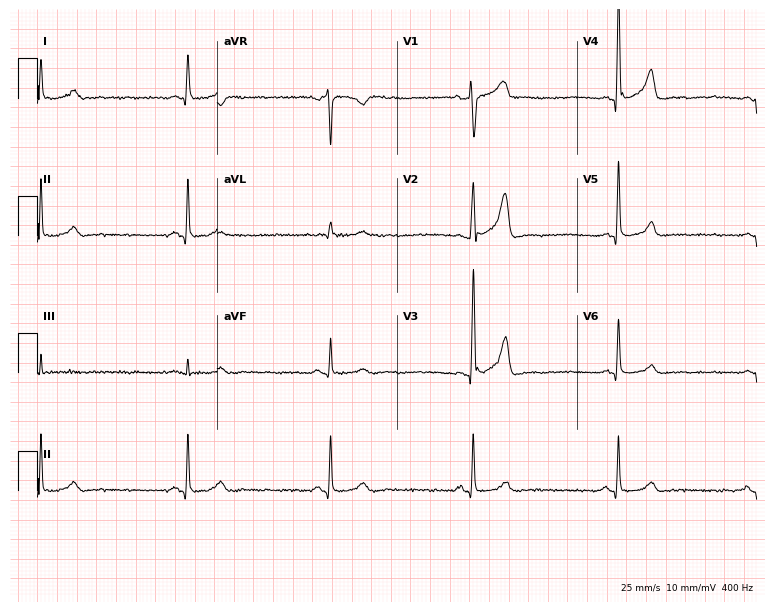
ECG — a 60-year-old male. Findings include sinus bradycardia (a sinus rate of 50 beats per minute or less).